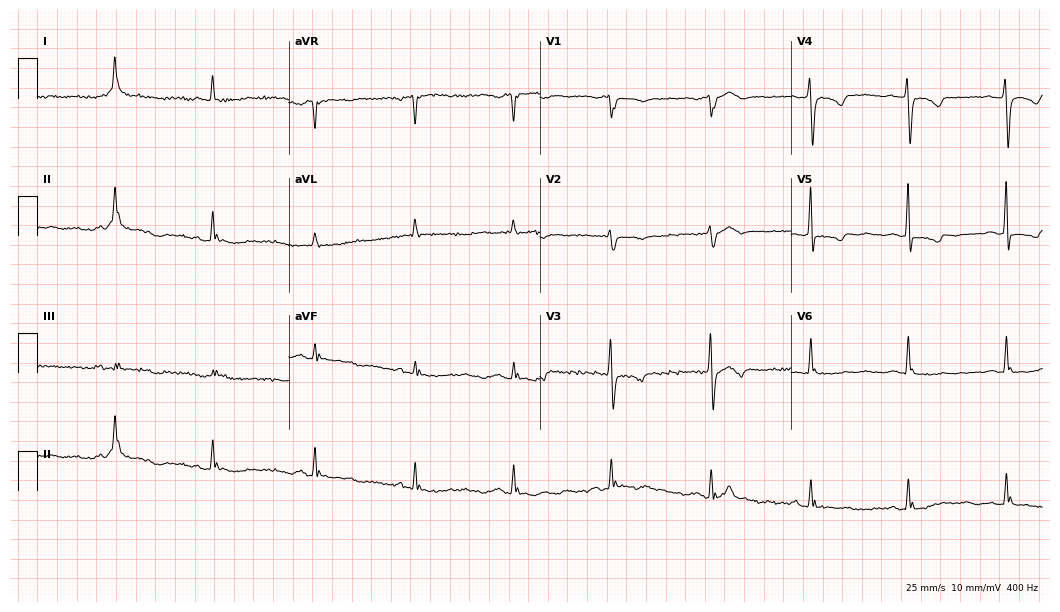
12-lead ECG (10.2-second recording at 400 Hz) from a female patient, 70 years old. Screened for six findings — first-degree AV block, right bundle branch block, left bundle branch block, sinus bradycardia, atrial fibrillation, sinus tachycardia — none is recorded. Other findings, if any, are not listed.